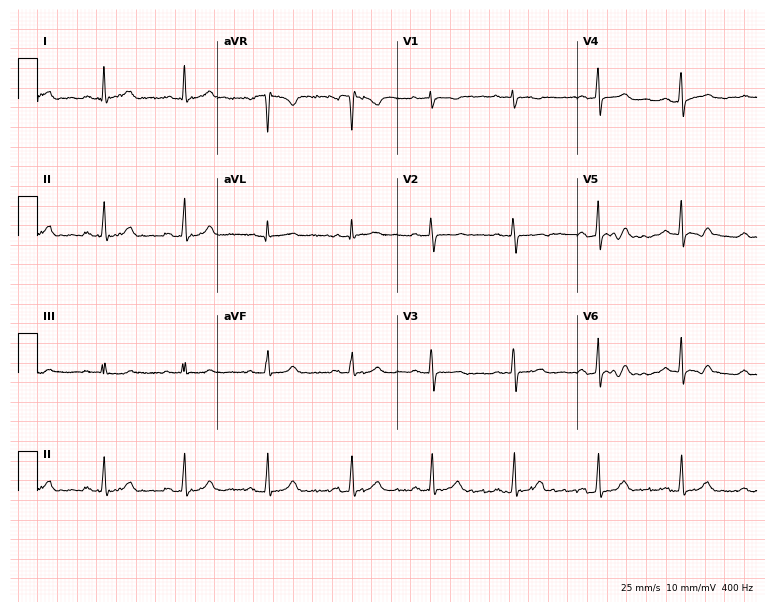
12-lead ECG from a 28-year-old woman (7.3-second recording at 400 Hz). Recorded interpretation: within normal limits.